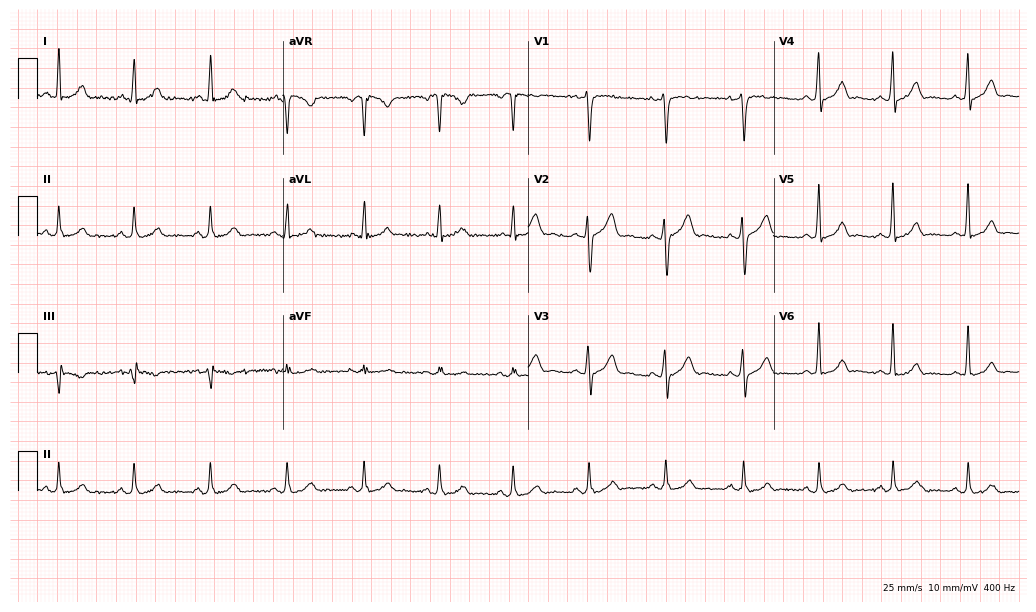
ECG — a male patient, 40 years old. Screened for six findings — first-degree AV block, right bundle branch block, left bundle branch block, sinus bradycardia, atrial fibrillation, sinus tachycardia — none is recorded.